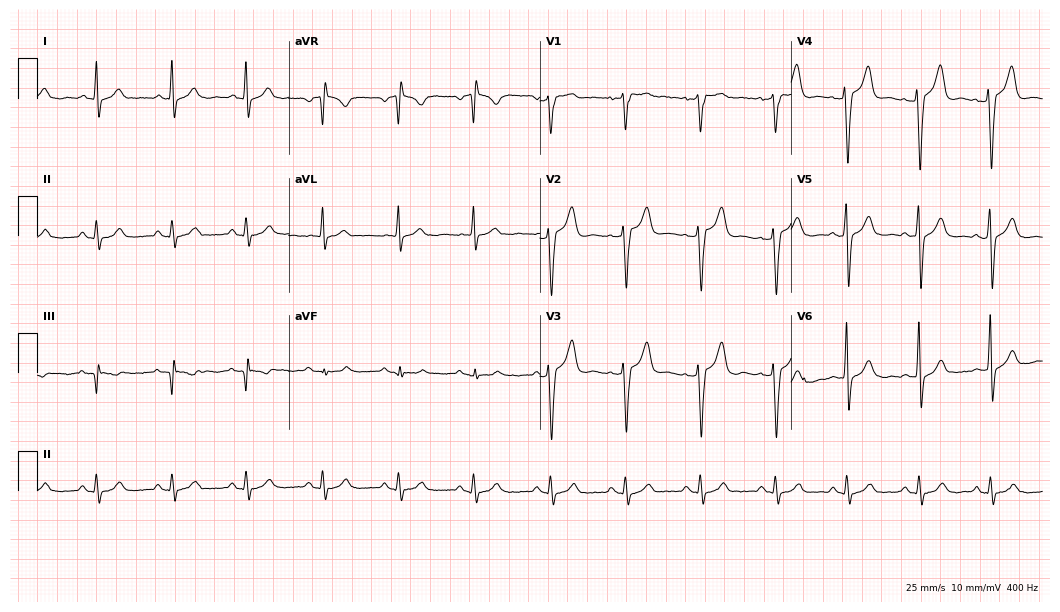
Electrocardiogram, a 42-year-old man. Of the six screened findings (first-degree AV block, right bundle branch block, left bundle branch block, sinus bradycardia, atrial fibrillation, sinus tachycardia), none is recorded.